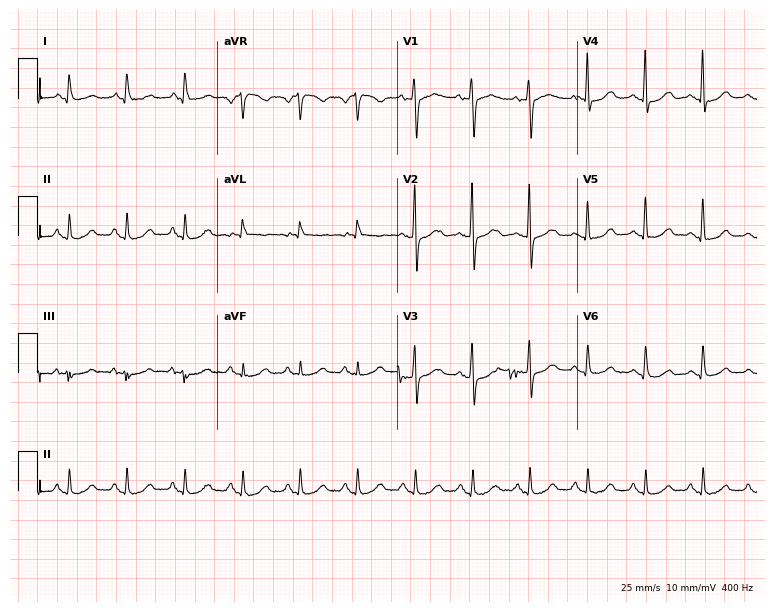
12-lead ECG from a 78-year-old woman (7.3-second recording at 400 Hz). Shows sinus tachycardia (a sinus rate of 100 beats per minute or more).